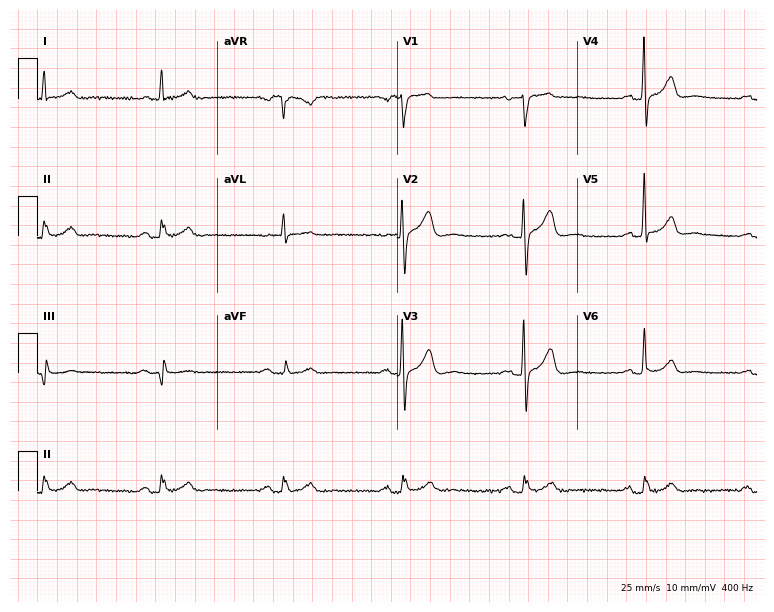
Standard 12-lead ECG recorded from a 73-year-old man (7.3-second recording at 400 Hz). The tracing shows sinus bradycardia (a sinus rate of 50 beats per minute or less).